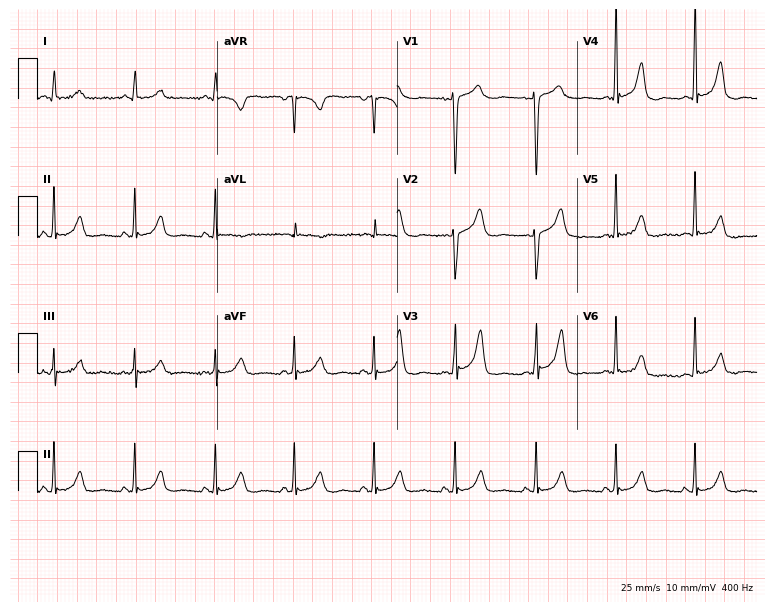
Standard 12-lead ECG recorded from a female patient, 58 years old (7.3-second recording at 400 Hz). None of these six findings is recorded: first-degree AV block, right bundle branch block, left bundle branch block, sinus bradycardia, atrial fibrillation, sinus tachycardia.